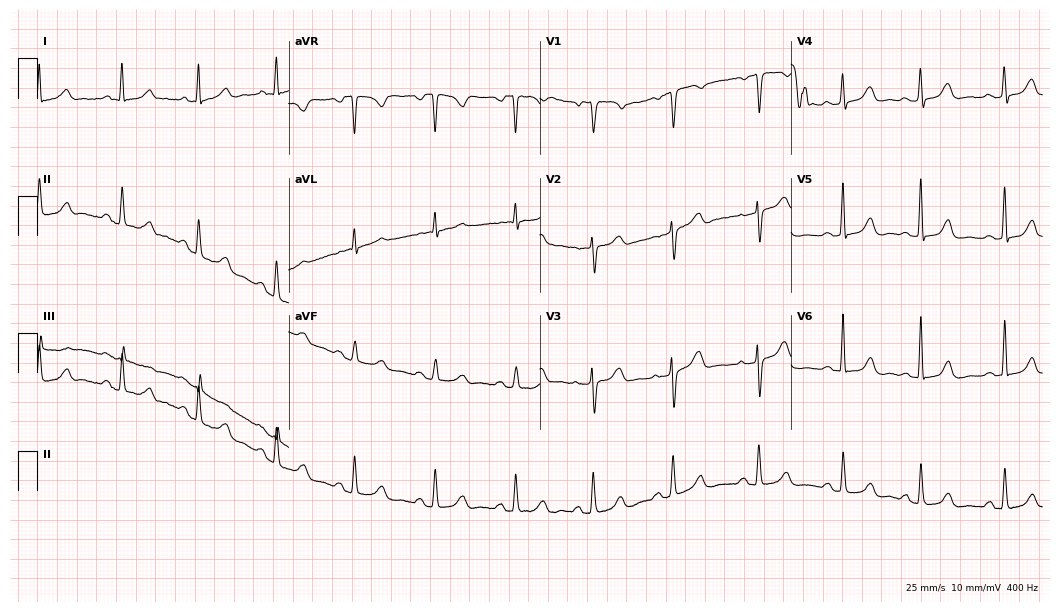
ECG — a woman, 48 years old. Labelled as a normal ECG.